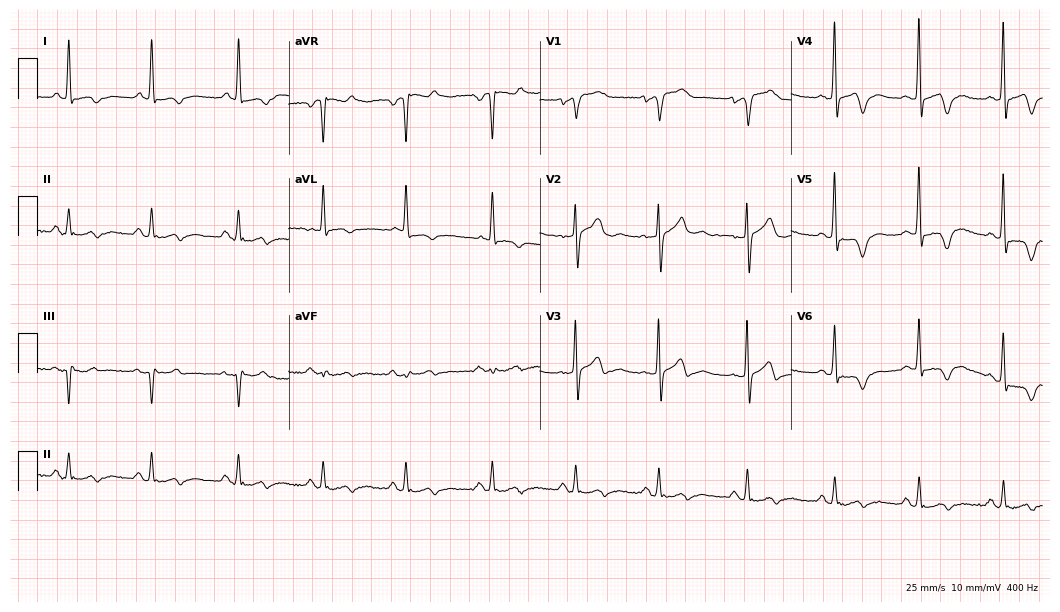
Standard 12-lead ECG recorded from a 53-year-old male patient. None of these six findings is recorded: first-degree AV block, right bundle branch block, left bundle branch block, sinus bradycardia, atrial fibrillation, sinus tachycardia. Other findings, if any, are not listed.